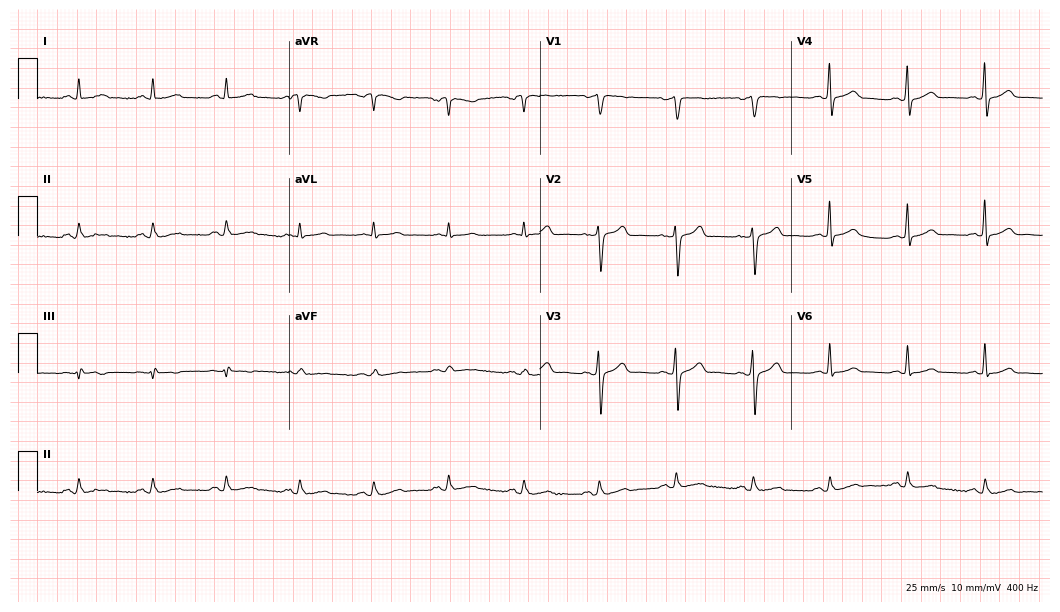
12-lead ECG from a male patient, 72 years old. Recorded interpretation: within normal limits.